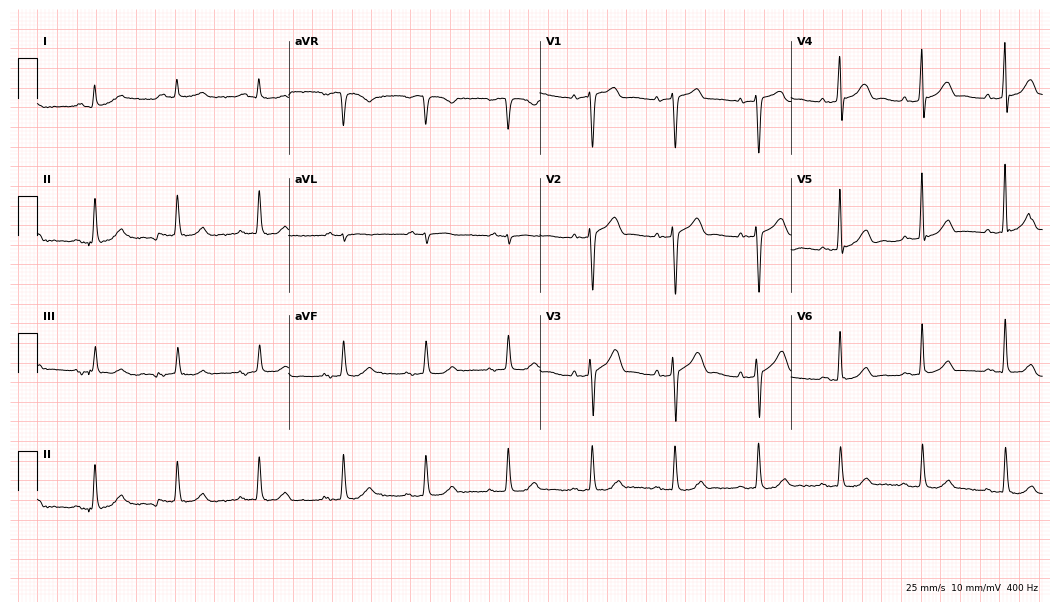
12-lead ECG from a male, 73 years old. Recorded interpretation: within normal limits.